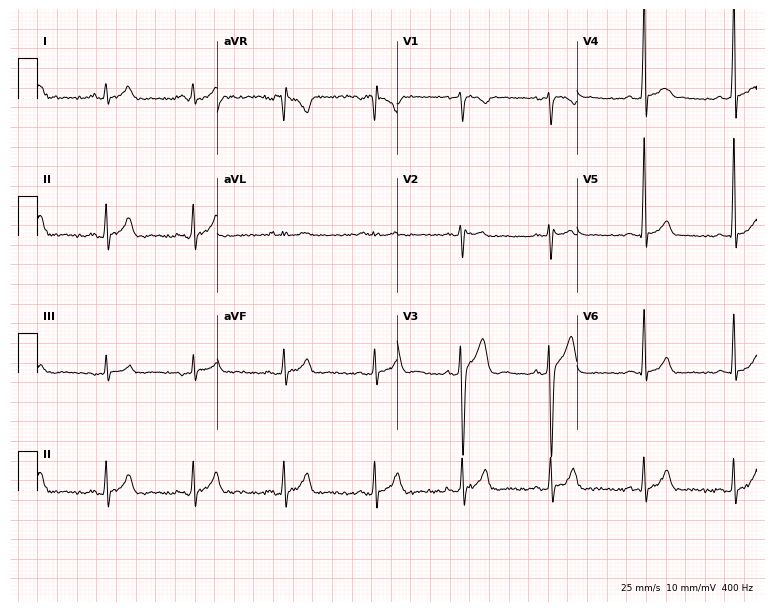
Electrocardiogram, a man, 30 years old. Of the six screened findings (first-degree AV block, right bundle branch block (RBBB), left bundle branch block (LBBB), sinus bradycardia, atrial fibrillation (AF), sinus tachycardia), none is recorded.